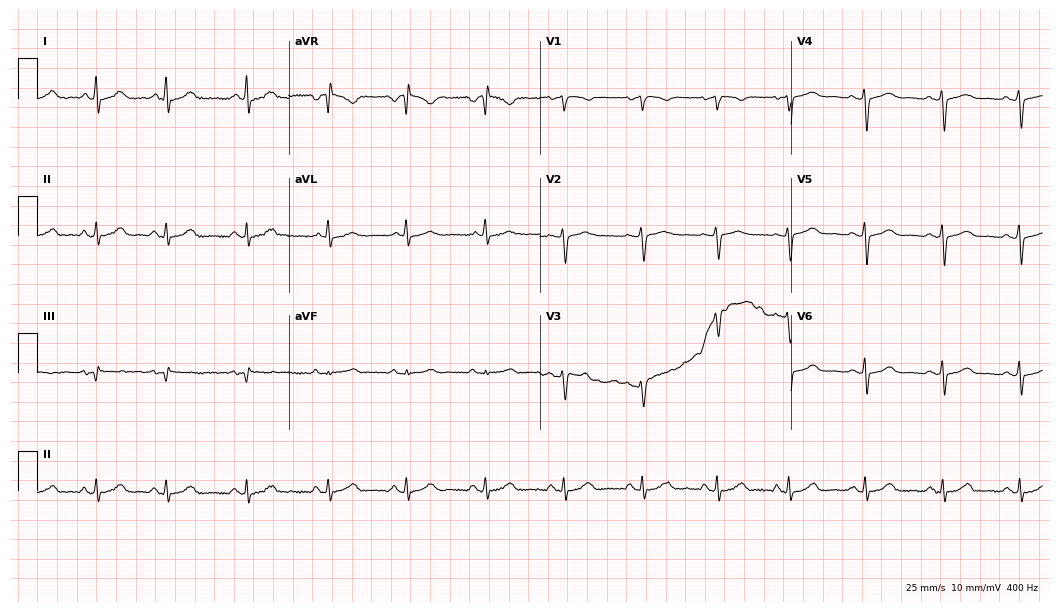
Resting 12-lead electrocardiogram. Patient: a 28-year-old male. Read as a normal ECG.